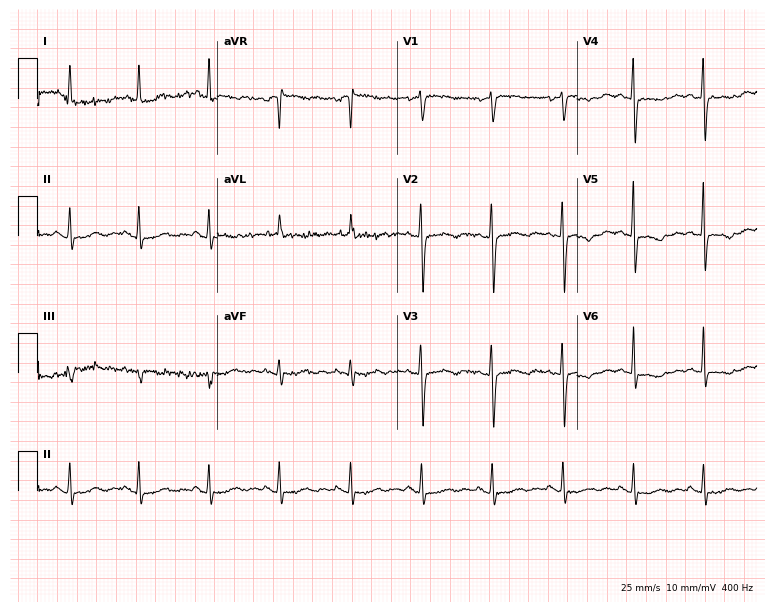
ECG — a female patient, 78 years old. Screened for six findings — first-degree AV block, right bundle branch block (RBBB), left bundle branch block (LBBB), sinus bradycardia, atrial fibrillation (AF), sinus tachycardia — none is recorded. Other findings, if any, are not listed.